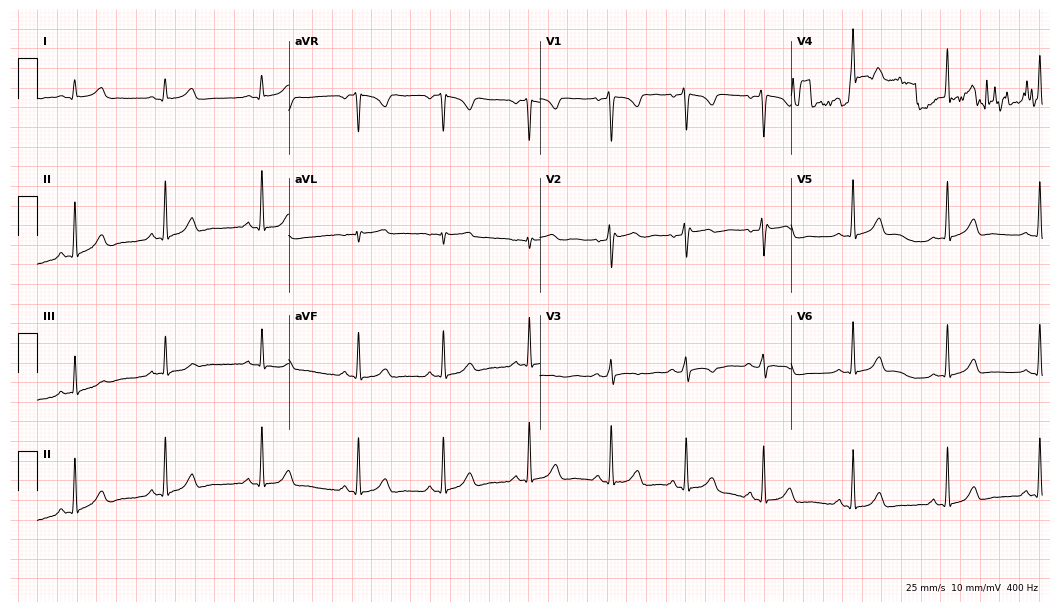
Resting 12-lead electrocardiogram (10.2-second recording at 400 Hz). Patient: a 29-year-old female. Read as a normal ECG.